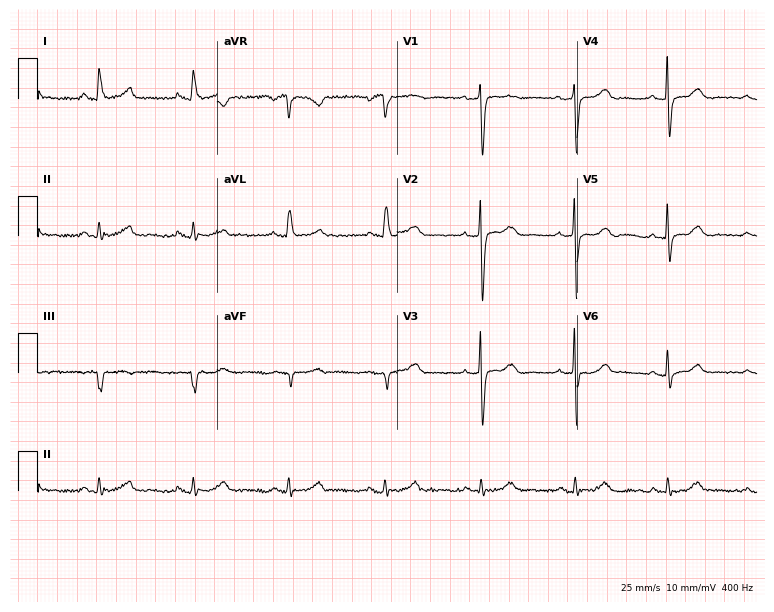
12-lead ECG from a female, 60 years old (7.3-second recording at 400 Hz). No first-degree AV block, right bundle branch block (RBBB), left bundle branch block (LBBB), sinus bradycardia, atrial fibrillation (AF) or sinus tachycardia recorded for this tracing. Only these six findings were labelled.